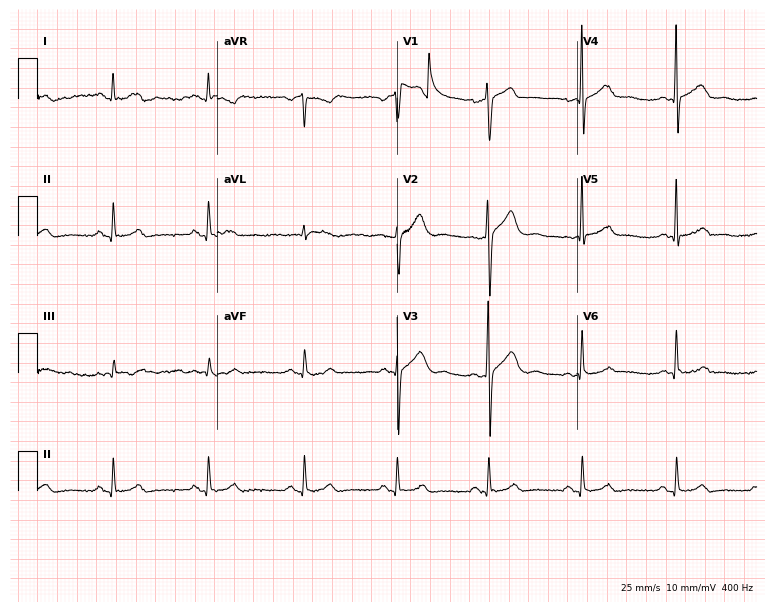
ECG — a man, 73 years old. Screened for six findings — first-degree AV block, right bundle branch block (RBBB), left bundle branch block (LBBB), sinus bradycardia, atrial fibrillation (AF), sinus tachycardia — none is recorded.